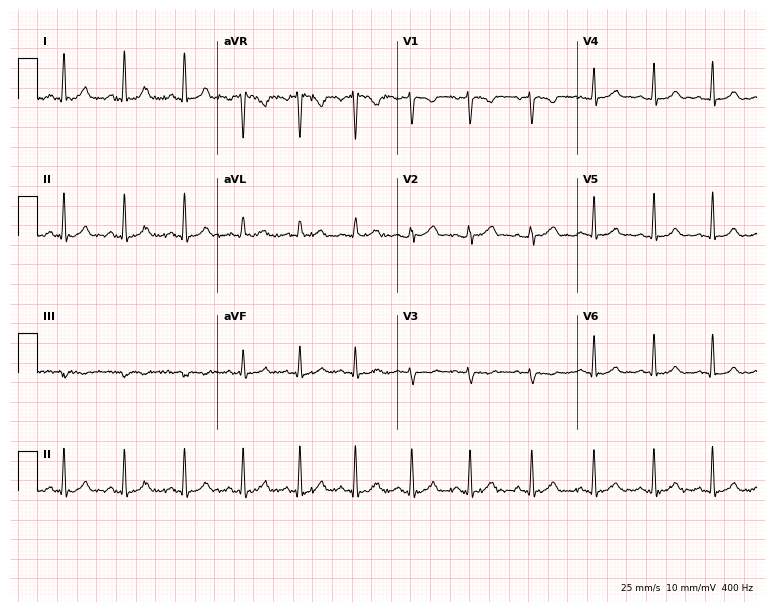
Electrocardiogram (7.3-second recording at 400 Hz), a female patient, 20 years old. Overall reading on record: normal ECG.